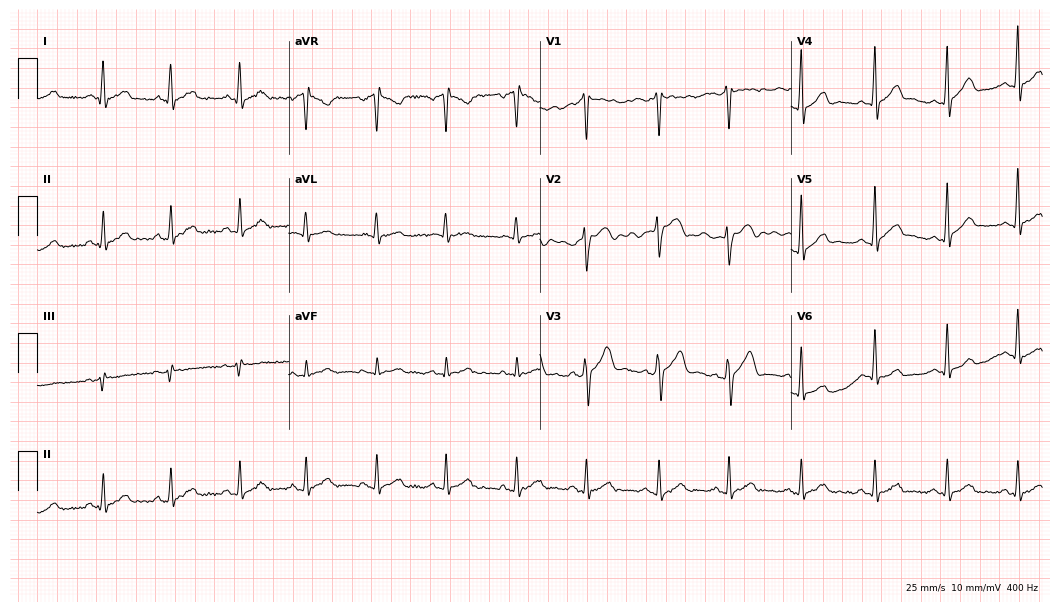
Electrocardiogram (10.2-second recording at 400 Hz), a man, 35 years old. Overall reading on record: normal ECG.